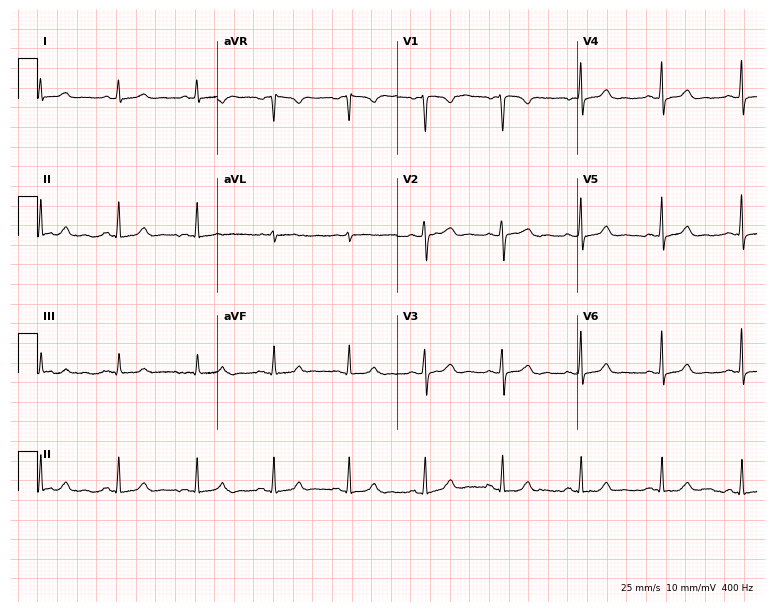
Electrocardiogram (7.3-second recording at 400 Hz), a 50-year-old female. Overall reading on record: normal ECG.